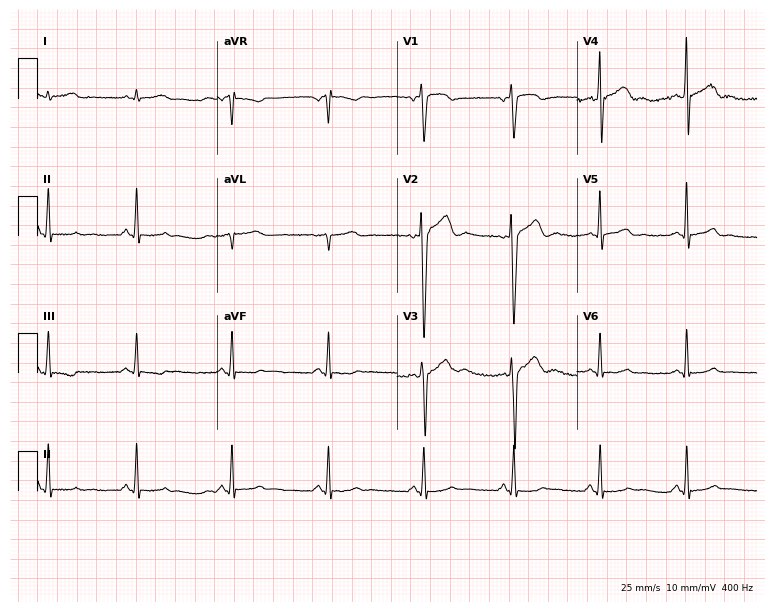
Electrocardiogram (7.3-second recording at 400 Hz), a 22-year-old male. Overall reading on record: normal ECG.